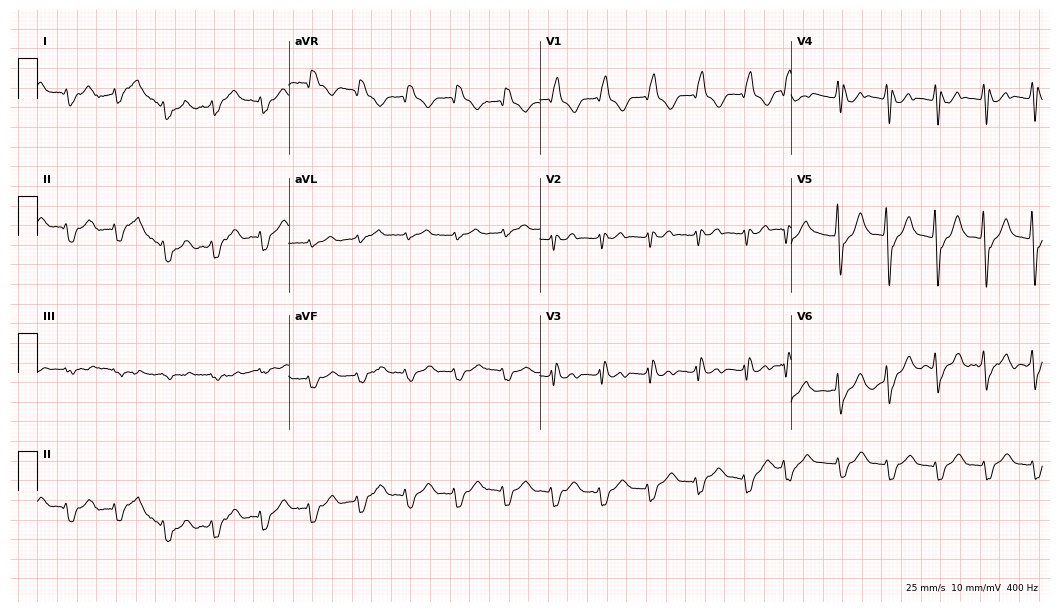
Standard 12-lead ECG recorded from an 83-year-old male. None of these six findings is recorded: first-degree AV block, right bundle branch block, left bundle branch block, sinus bradycardia, atrial fibrillation, sinus tachycardia. Other findings, if any, are not listed.